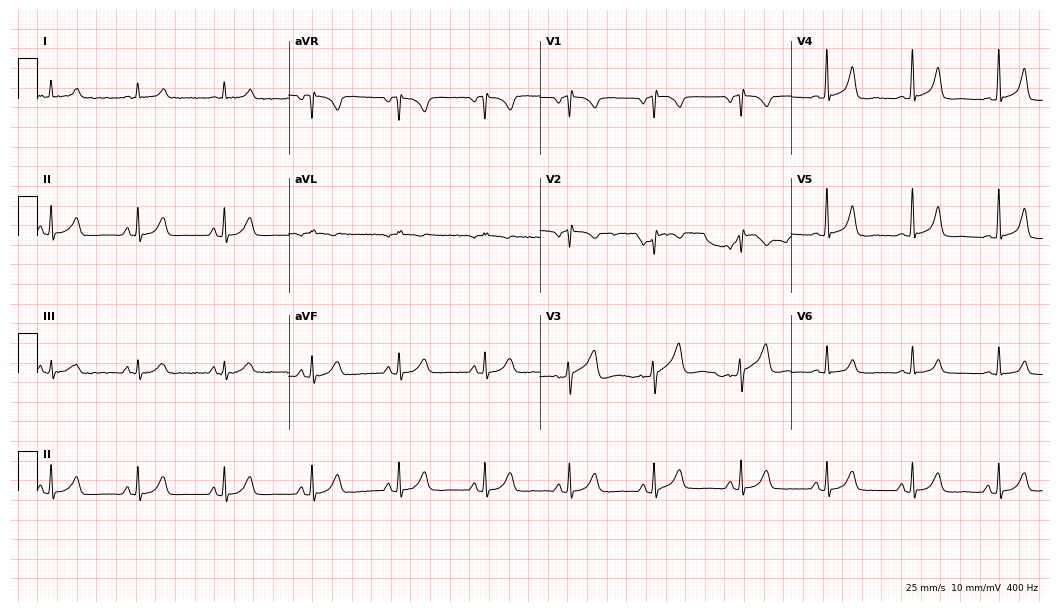
12-lead ECG from a man, 63 years old. Labelled as a normal ECG.